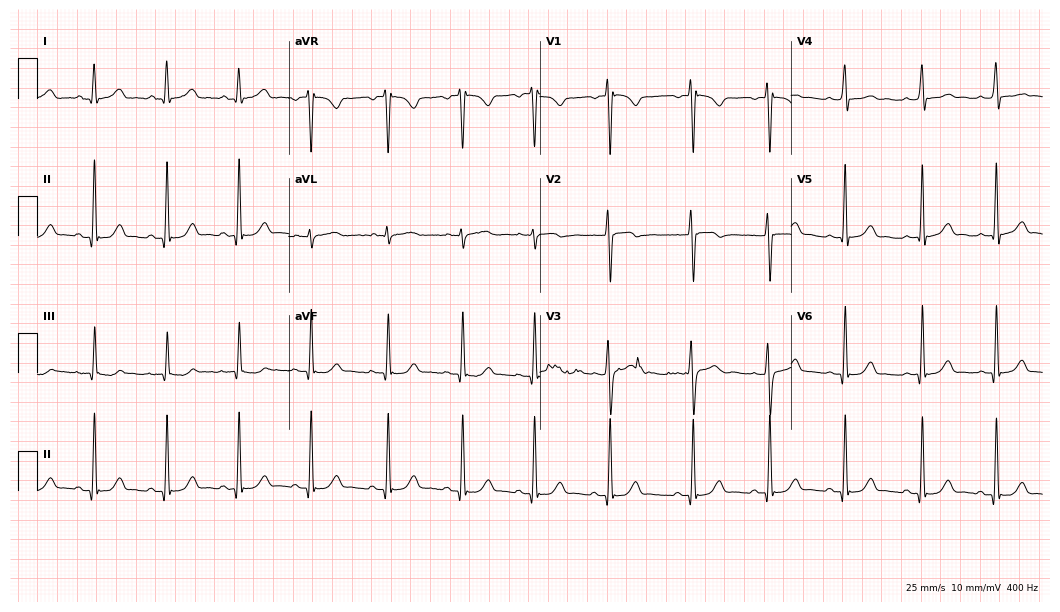
Electrocardiogram (10.2-second recording at 400 Hz), a female, 28 years old. Overall reading on record: normal ECG.